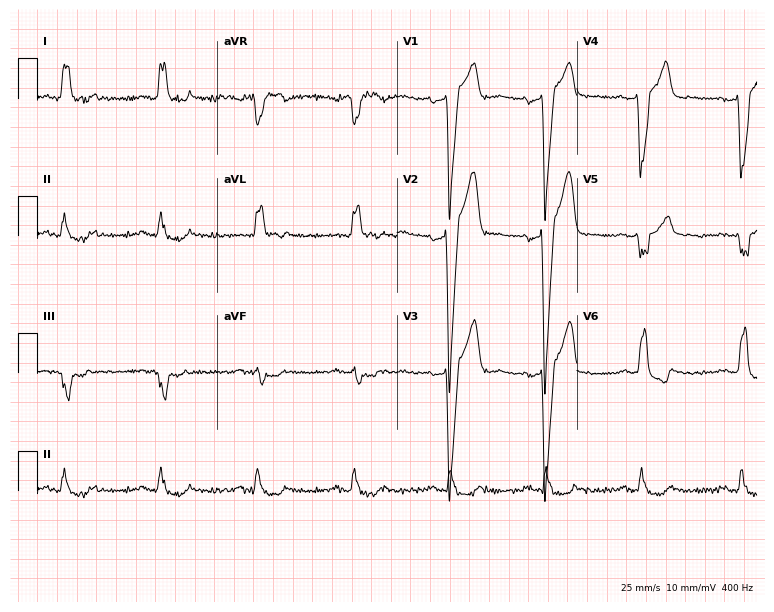
12-lead ECG from a male patient, 49 years old (7.3-second recording at 400 Hz). Shows left bundle branch block (LBBB).